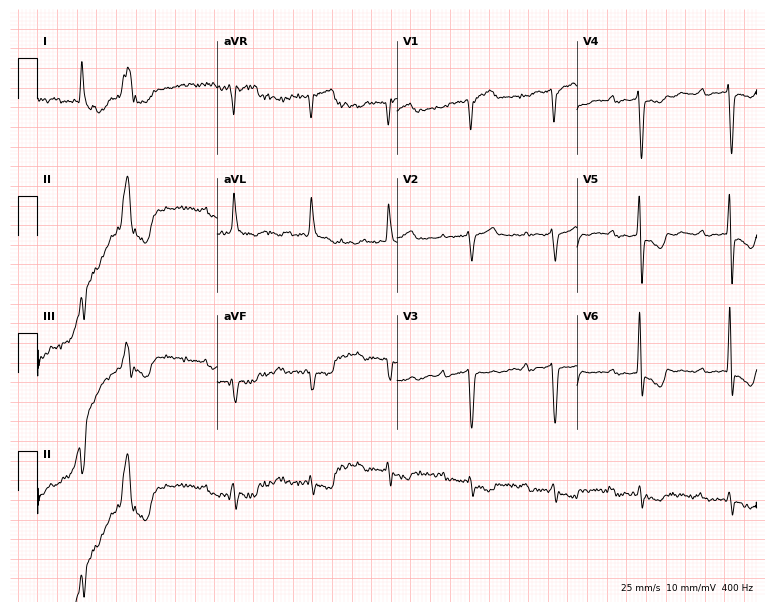
12-lead ECG (7.3-second recording at 400 Hz) from a female patient, 36 years old. Screened for six findings — first-degree AV block, right bundle branch block, left bundle branch block, sinus bradycardia, atrial fibrillation, sinus tachycardia — none is recorded.